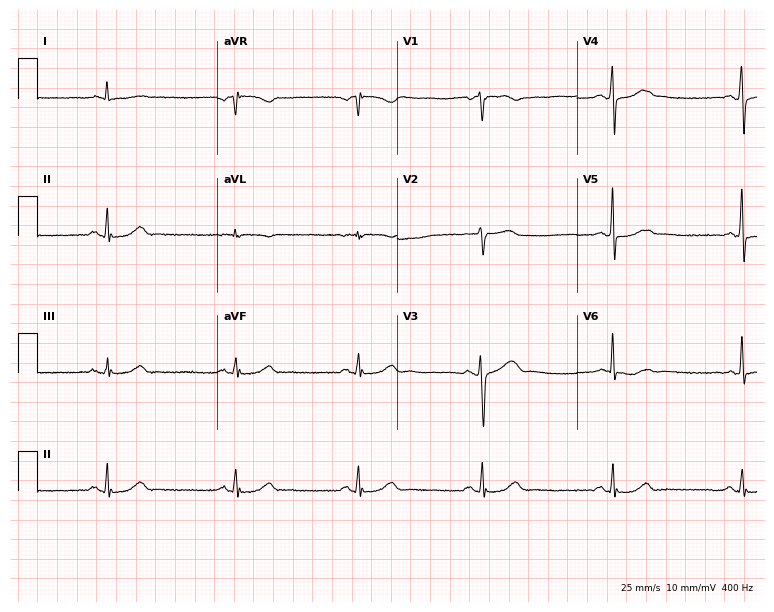
Resting 12-lead electrocardiogram. Patient: a 74-year-old male. The tracing shows sinus bradycardia (a sinus rate of 50 beats per minute or less).